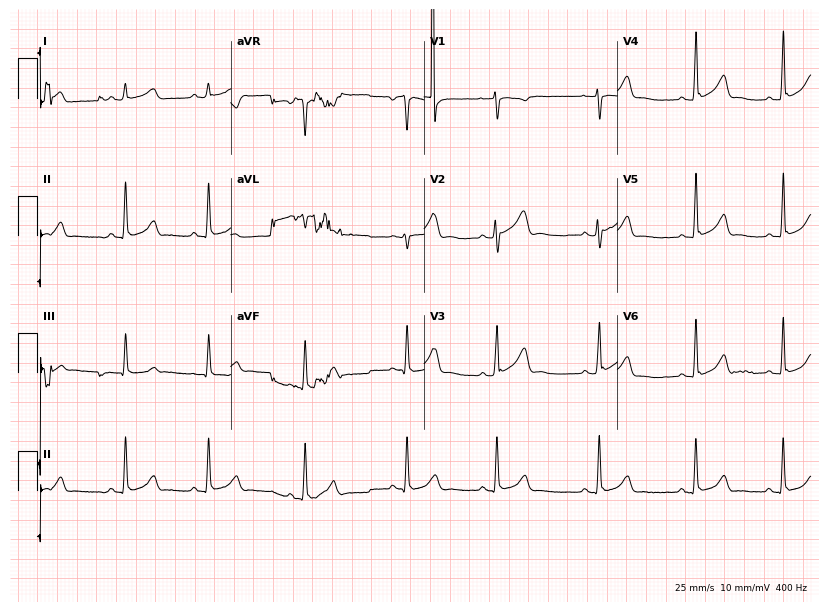
Standard 12-lead ECG recorded from a female patient, 17 years old (7.9-second recording at 400 Hz). None of these six findings is recorded: first-degree AV block, right bundle branch block, left bundle branch block, sinus bradycardia, atrial fibrillation, sinus tachycardia. Findings outside these six are not listed.